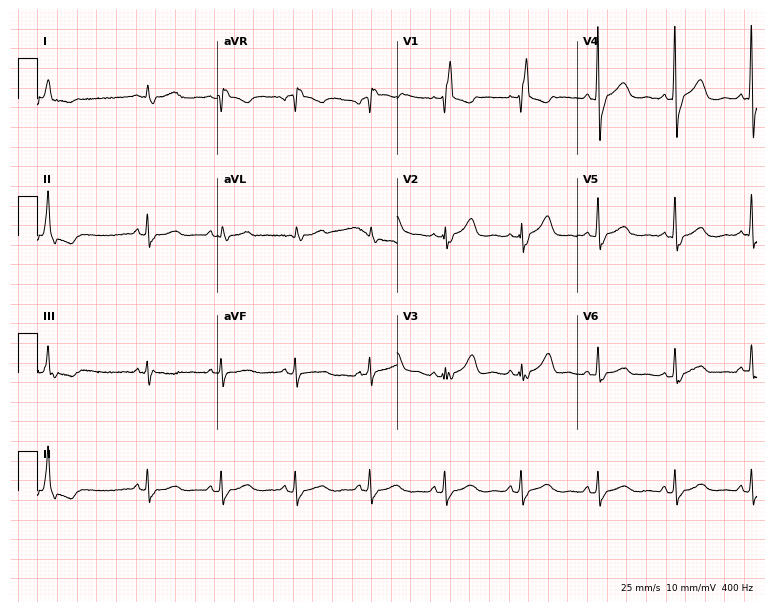
Standard 12-lead ECG recorded from a male patient, 62 years old. The tracing shows right bundle branch block (RBBB).